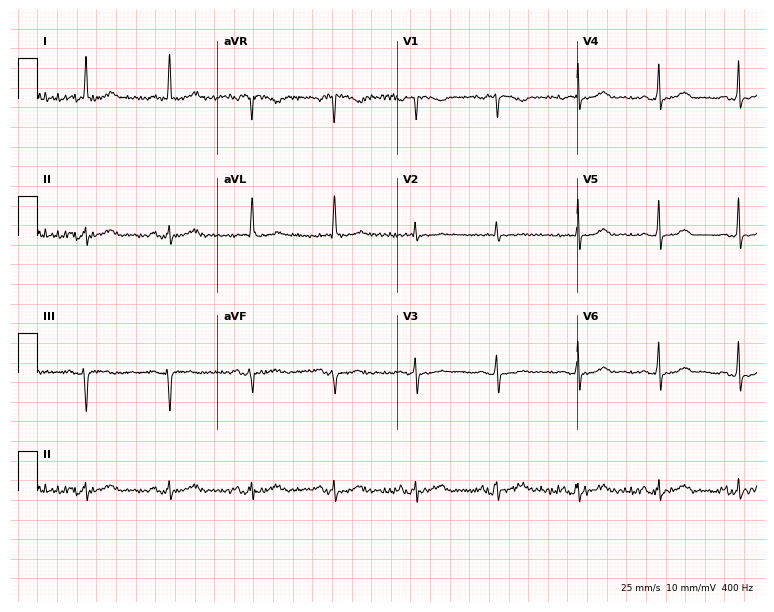
Electrocardiogram (7.3-second recording at 400 Hz), a woman, 62 years old. Overall reading on record: normal ECG.